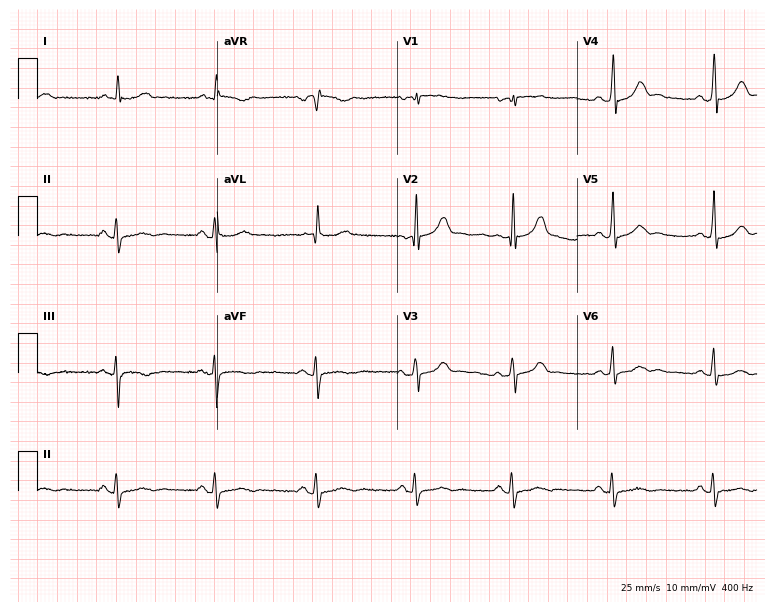
ECG (7.3-second recording at 400 Hz) — a 78-year-old male patient. Screened for six findings — first-degree AV block, right bundle branch block, left bundle branch block, sinus bradycardia, atrial fibrillation, sinus tachycardia — none is recorded.